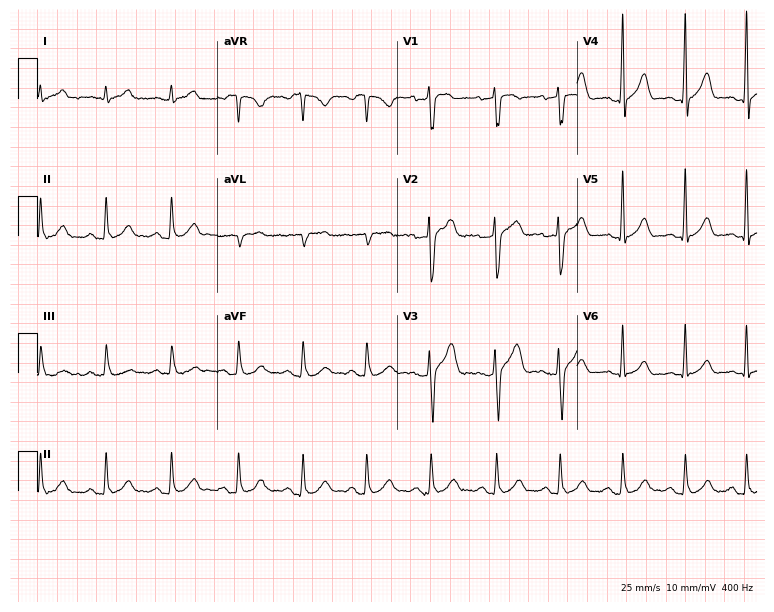
12-lead ECG (7.3-second recording at 400 Hz) from a 31-year-old man. Labelled as a normal ECG.